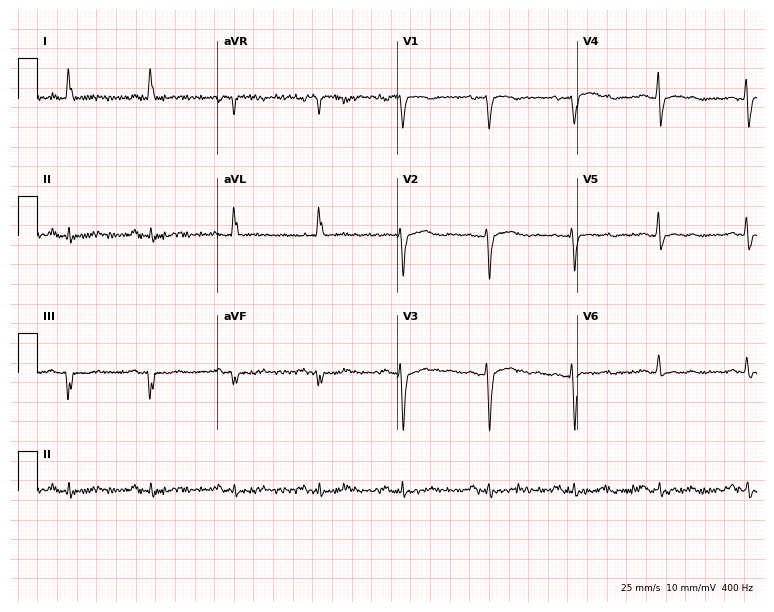
Electrocardiogram (7.3-second recording at 400 Hz), a woman, 57 years old. Of the six screened findings (first-degree AV block, right bundle branch block, left bundle branch block, sinus bradycardia, atrial fibrillation, sinus tachycardia), none is recorded. Only these six findings were labelled.